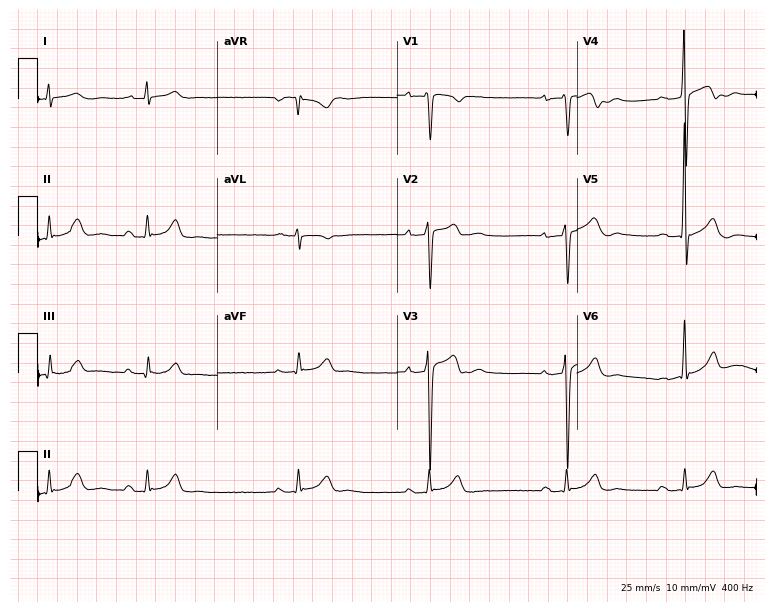
Standard 12-lead ECG recorded from a 23-year-old male patient (7.3-second recording at 400 Hz). None of these six findings is recorded: first-degree AV block, right bundle branch block, left bundle branch block, sinus bradycardia, atrial fibrillation, sinus tachycardia.